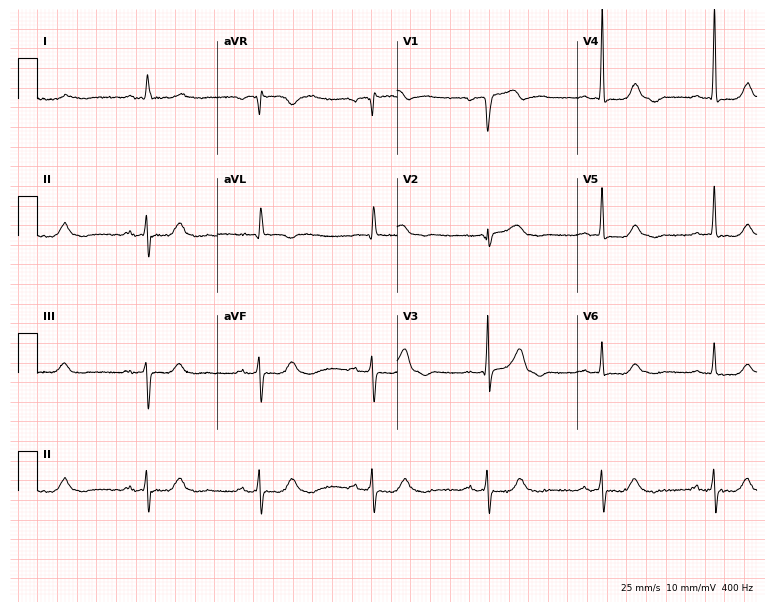
12-lead ECG (7.3-second recording at 400 Hz) from an 85-year-old male patient. Screened for six findings — first-degree AV block, right bundle branch block, left bundle branch block, sinus bradycardia, atrial fibrillation, sinus tachycardia — none is recorded. Other findings, if any, are not listed.